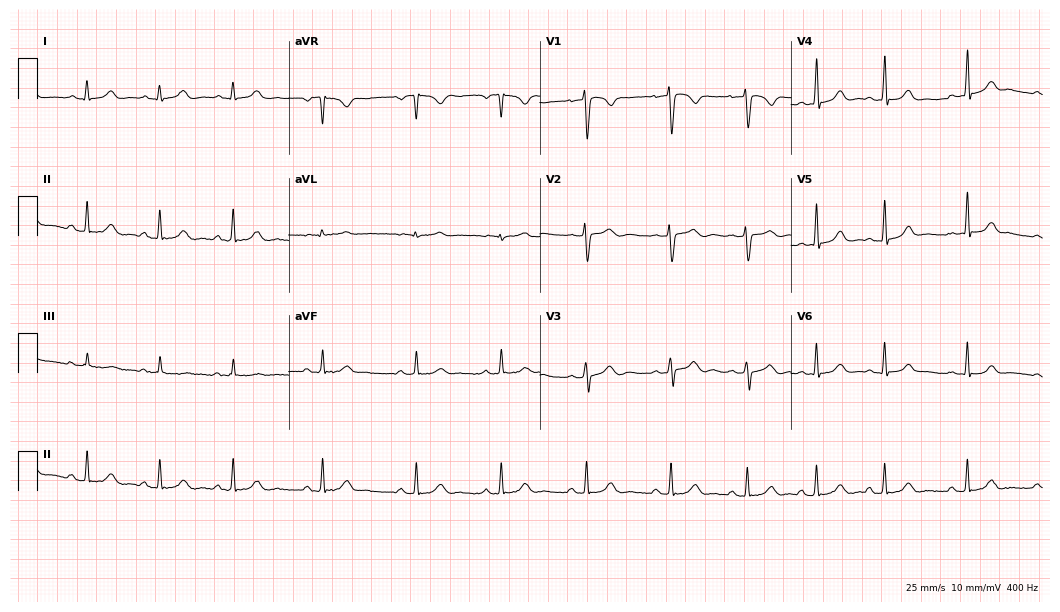
12-lead ECG from a female, 19 years old (10.2-second recording at 400 Hz). Recorded interpretation: within normal limits.